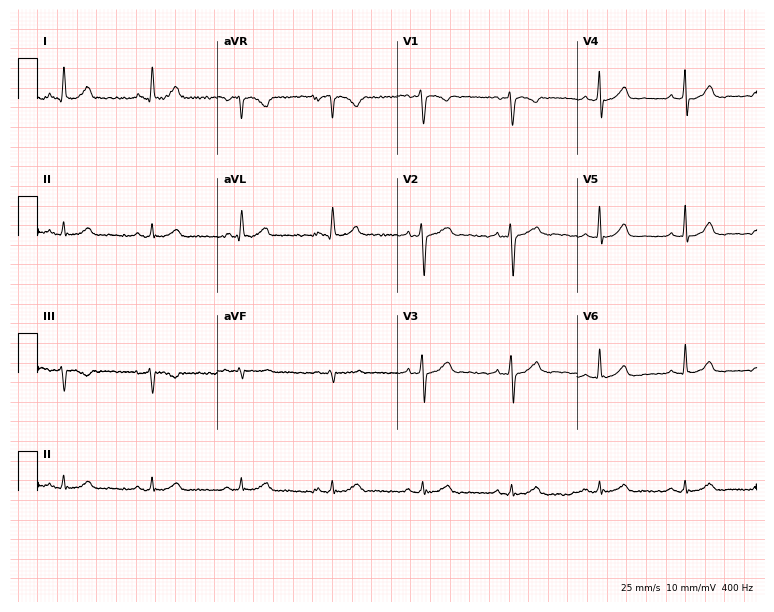
Standard 12-lead ECG recorded from a female, 62 years old. None of these six findings is recorded: first-degree AV block, right bundle branch block, left bundle branch block, sinus bradycardia, atrial fibrillation, sinus tachycardia.